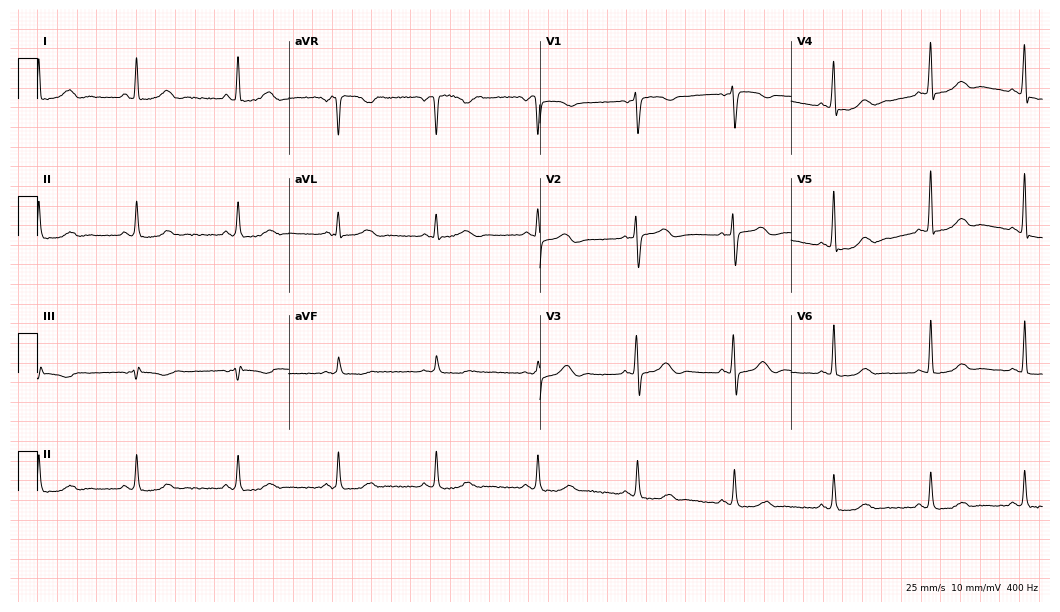
12-lead ECG from a 51-year-old female patient (10.2-second recording at 400 Hz). Recorded interpretation: within normal limits.